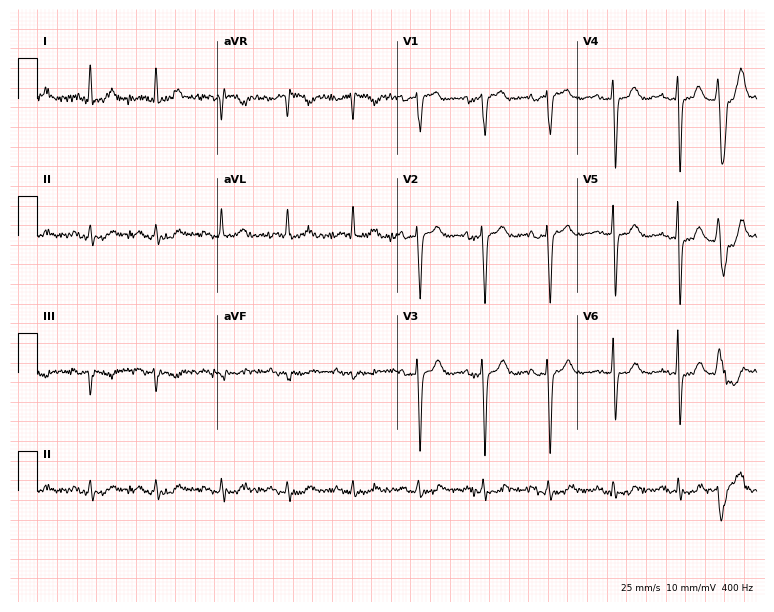
ECG (7.3-second recording at 400 Hz) — a 79-year-old female patient. Screened for six findings — first-degree AV block, right bundle branch block (RBBB), left bundle branch block (LBBB), sinus bradycardia, atrial fibrillation (AF), sinus tachycardia — none is recorded. Only these six findings were labelled.